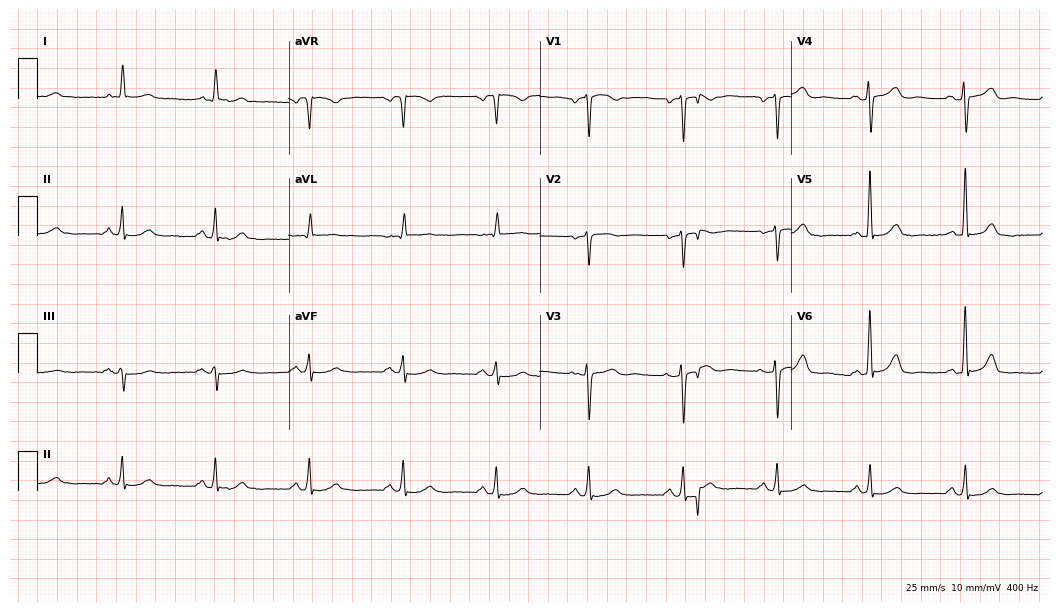
ECG — a 68-year-old female. Labelled as a normal ECG.